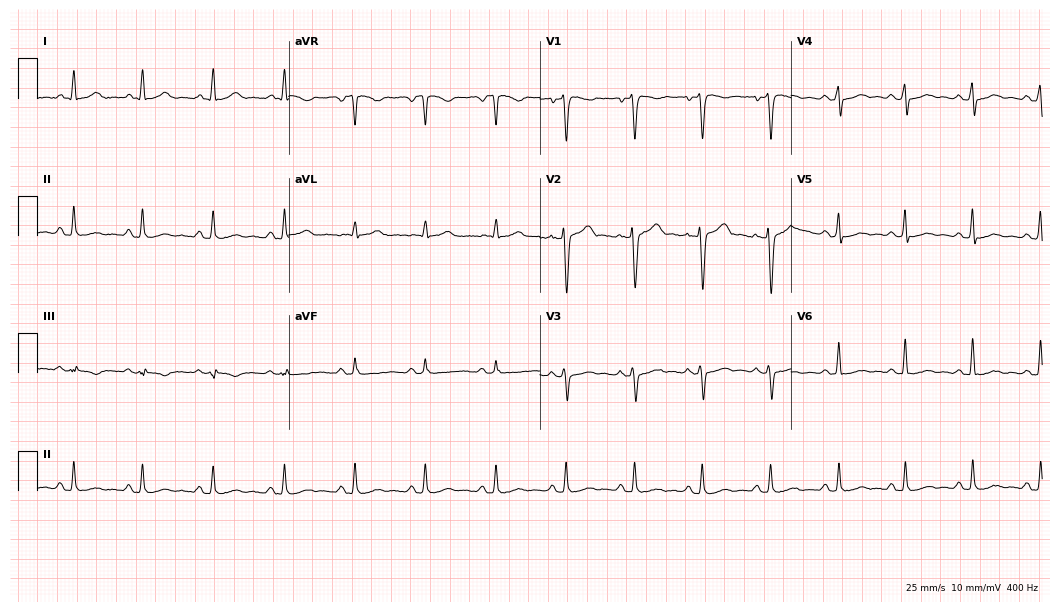
12-lead ECG from a 43-year-old man (10.2-second recording at 400 Hz). No first-degree AV block, right bundle branch block (RBBB), left bundle branch block (LBBB), sinus bradycardia, atrial fibrillation (AF) or sinus tachycardia recorded for this tracing. Only these six findings were labelled.